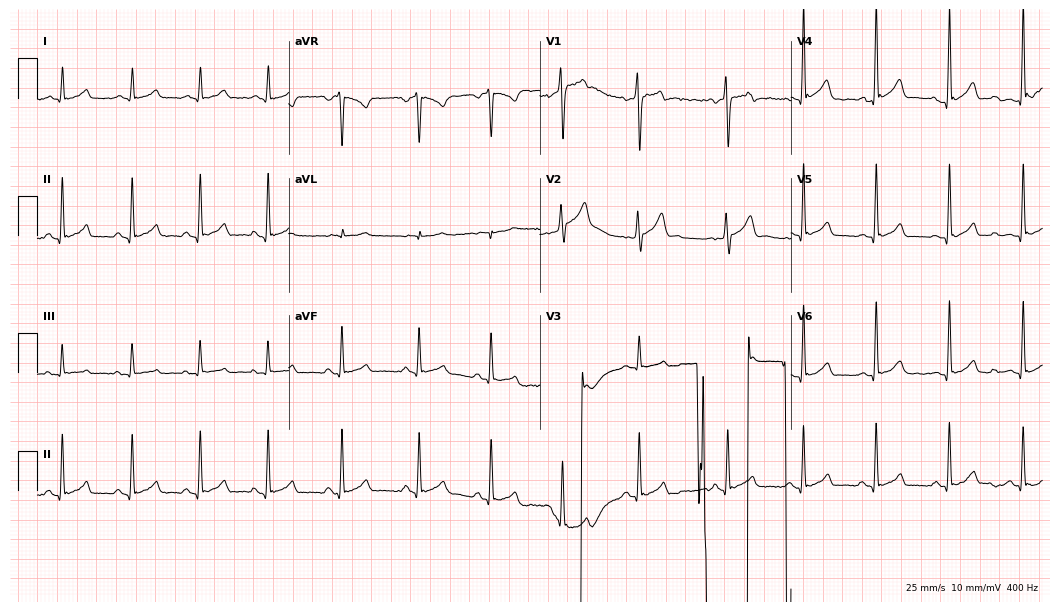
Resting 12-lead electrocardiogram. Patient: a male, 17 years old. None of these six findings is recorded: first-degree AV block, right bundle branch block, left bundle branch block, sinus bradycardia, atrial fibrillation, sinus tachycardia. Other findings, if any, are not listed.